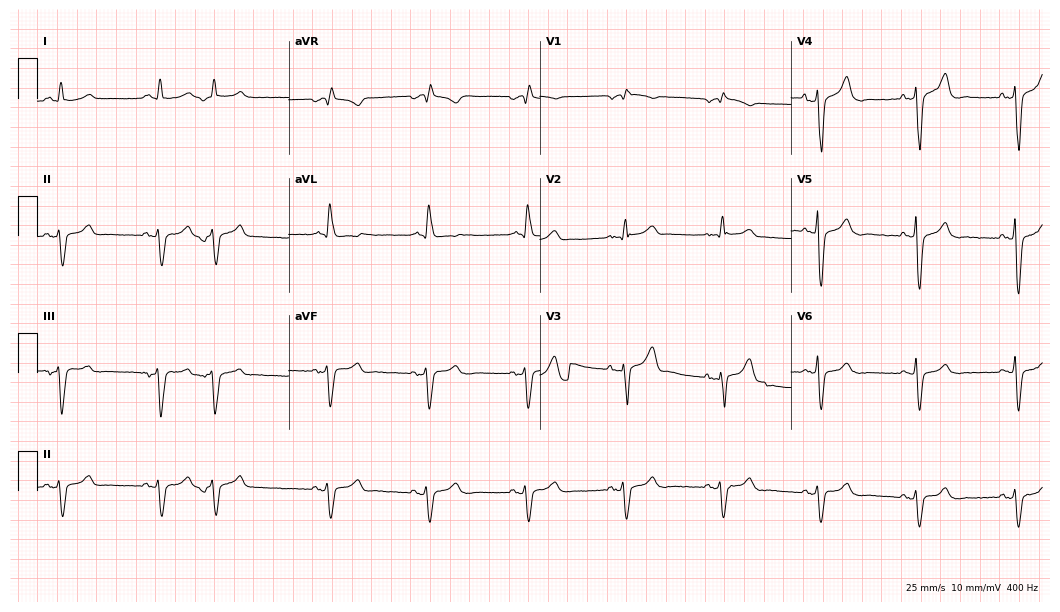
ECG (10.2-second recording at 400 Hz) — a male, 77 years old. Screened for six findings — first-degree AV block, right bundle branch block (RBBB), left bundle branch block (LBBB), sinus bradycardia, atrial fibrillation (AF), sinus tachycardia — none is recorded. Findings outside these six are not listed.